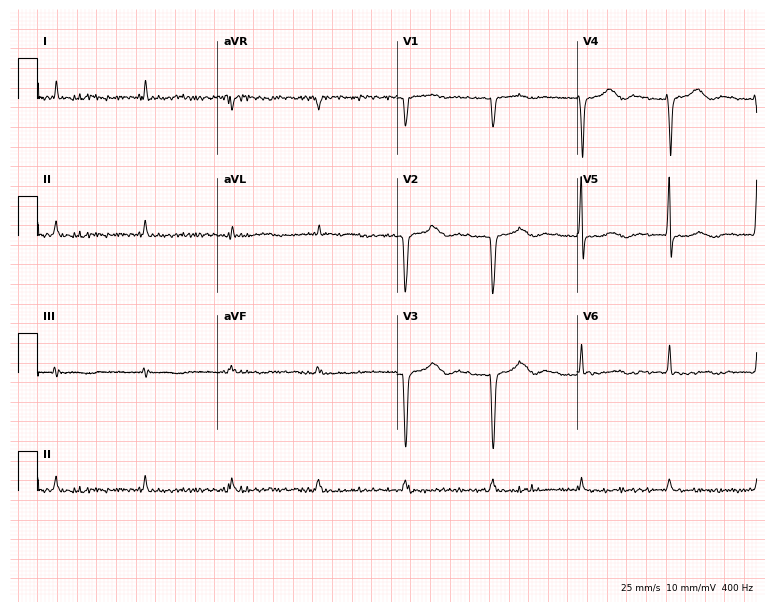
12-lead ECG from a female, 84 years old (7.3-second recording at 400 Hz). No first-degree AV block, right bundle branch block, left bundle branch block, sinus bradycardia, atrial fibrillation or sinus tachycardia recorded for this tracing. Only these six findings were labelled.